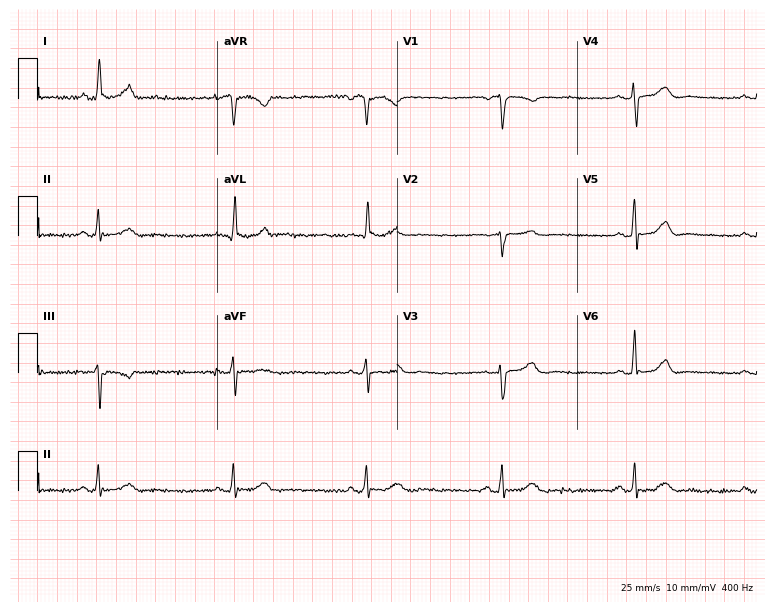
Resting 12-lead electrocardiogram. Patient: a woman, 73 years old. The tracing shows sinus bradycardia (a sinus rate of 50 beats per minute or less).